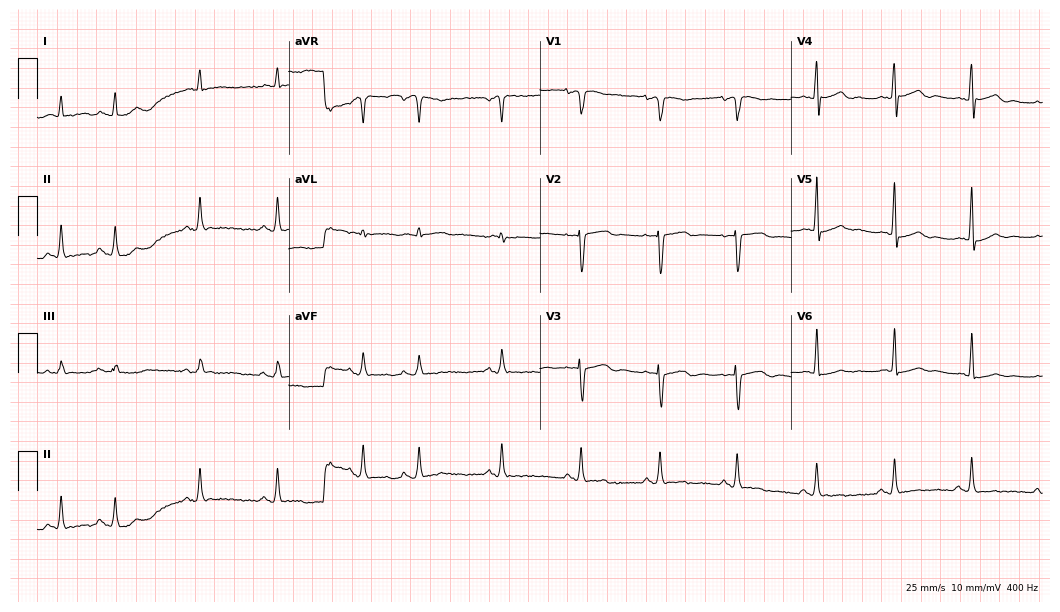
12-lead ECG from a woman, 81 years old (10.2-second recording at 400 Hz). No first-degree AV block, right bundle branch block, left bundle branch block, sinus bradycardia, atrial fibrillation or sinus tachycardia recorded for this tracing.